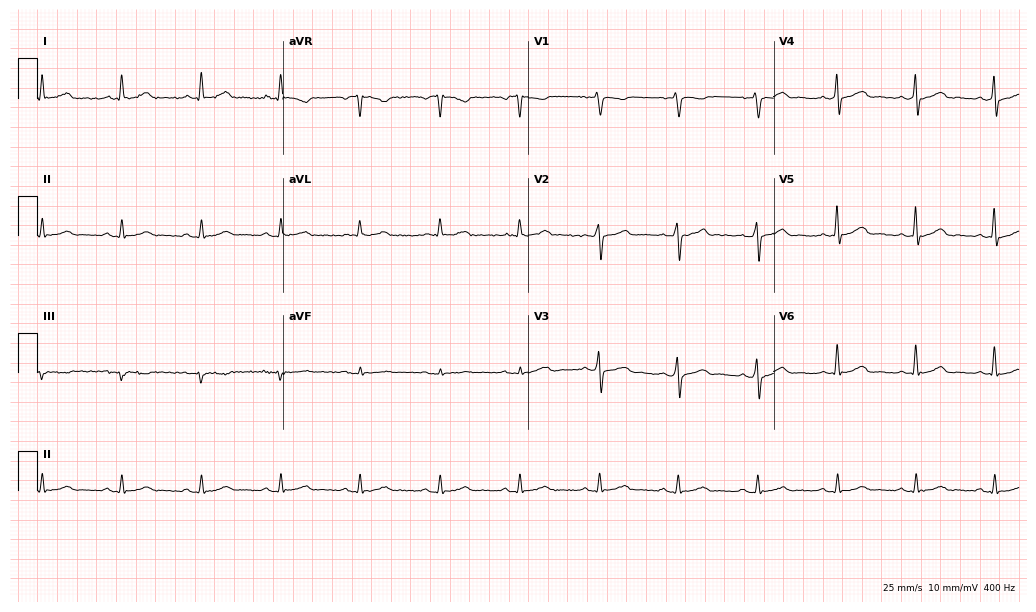
Standard 12-lead ECG recorded from a male, 77 years old. None of these six findings is recorded: first-degree AV block, right bundle branch block (RBBB), left bundle branch block (LBBB), sinus bradycardia, atrial fibrillation (AF), sinus tachycardia. Only these six findings were labelled.